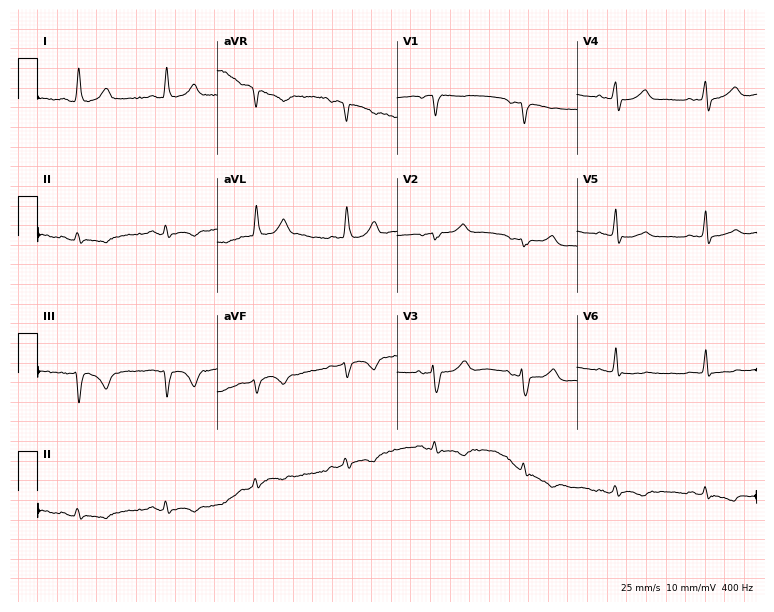
12-lead ECG (7.3-second recording at 400 Hz) from a woman, 73 years old. Screened for six findings — first-degree AV block, right bundle branch block (RBBB), left bundle branch block (LBBB), sinus bradycardia, atrial fibrillation (AF), sinus tachycardia — none is recorded. Findings outside these six are not listed.